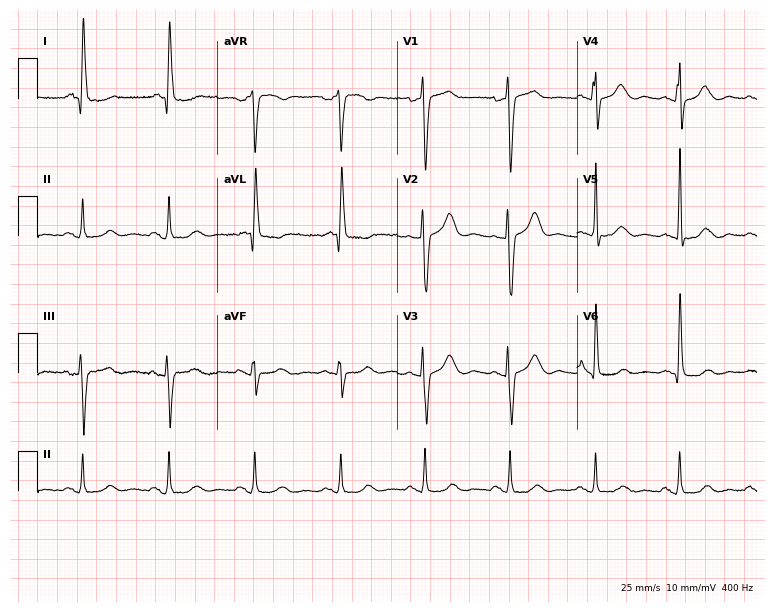
Standard 12-lead ECG recorded from a 65-year-old female patient (7.3-second recording at 400 Hz). None of these six findings is recorded: first-degree AV block, right bundle branch block, left bundle branch block, sinus bradycardia, atrial fibrillation, sinus tachycardia.